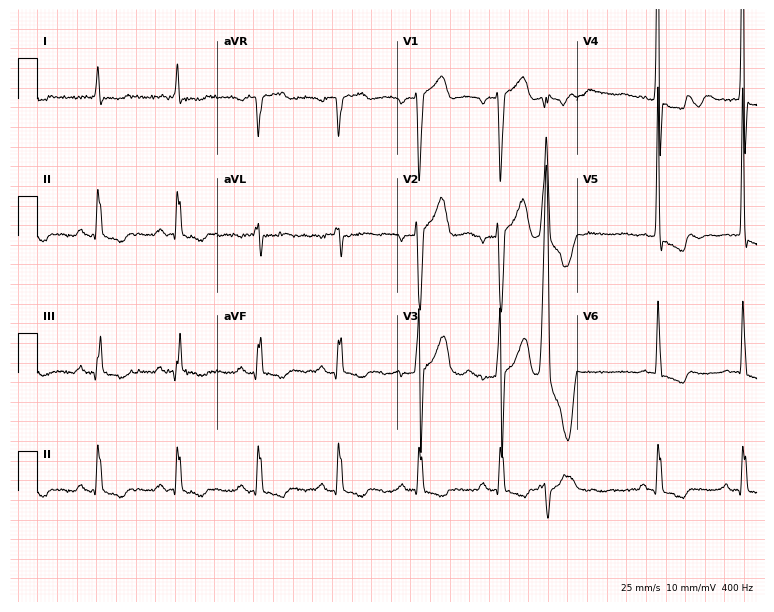
Electrocardiogram, a 76-year-old male. Overall reading on record: normal ECG.